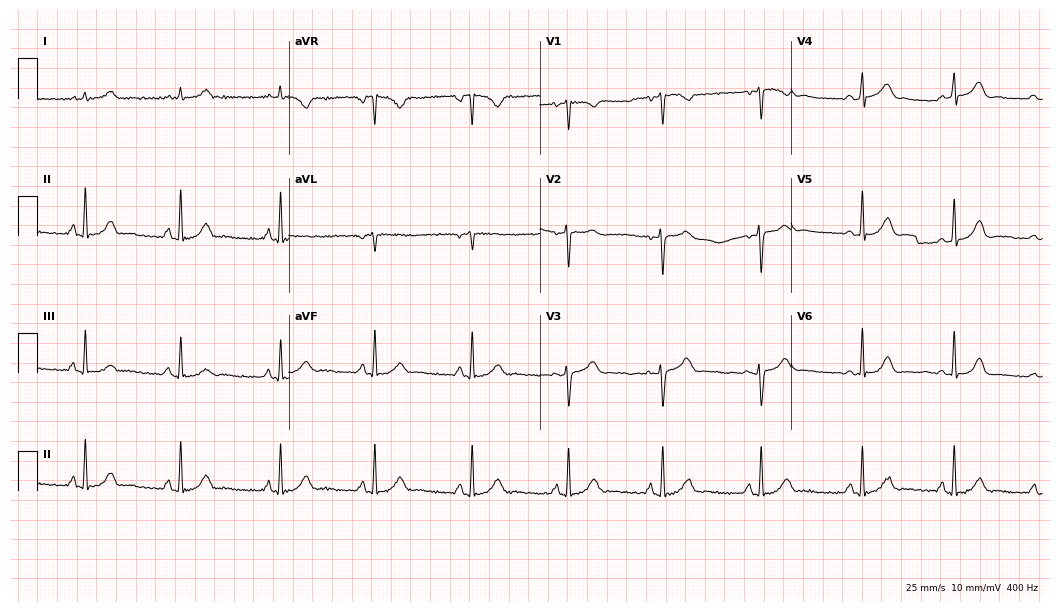
ECG — a 21-year-old woman. Labelled as a normal ECG.